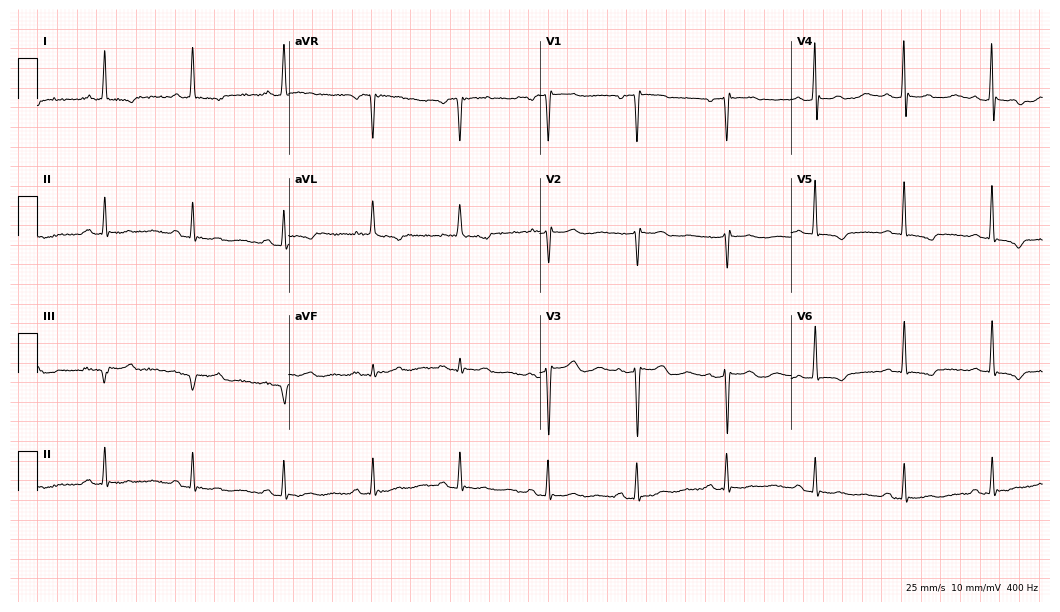
12-lead ECG from a woman, 71 years old (10.2-second recording at 400 Hz). No first-degree AV block, right bundle branch block, left bundle branch block, sinus bradycardia, atrial fibrillation or sinus tachycardia recorded for this tracing.